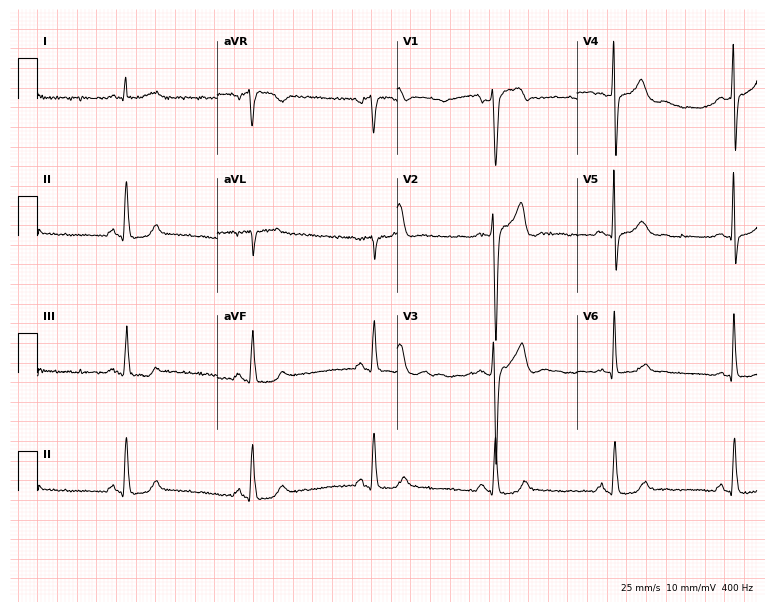
Resting 12-lead electrocardiogram. Patient: a male, 51 years old. None of these six findings is recorded: first-degree AV block, right bundle branch block (RBBB), left bundle branch block (LBBB), sinus bradycardia, atrial fibrillation (AF), sinus tachycardia. Findings outside these six are not listed.